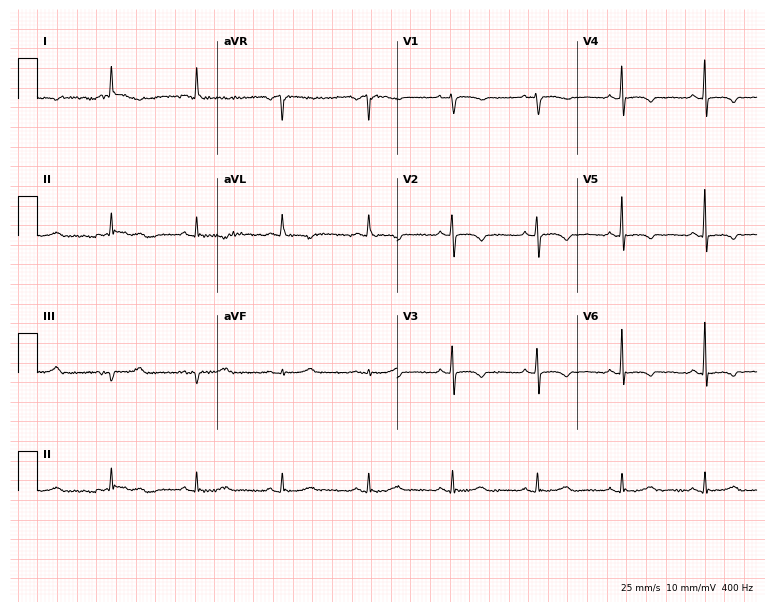
Resting 12-lead electrocardiogram (7.3-second recording at 400 Hz). Patient: a woman, 69 years old. None of these six findings is recorded: first-degree AV block, right bundle branch block, left bundle branch block, sinus bradycardia, atrial fibrillation, sinus tachycardia.